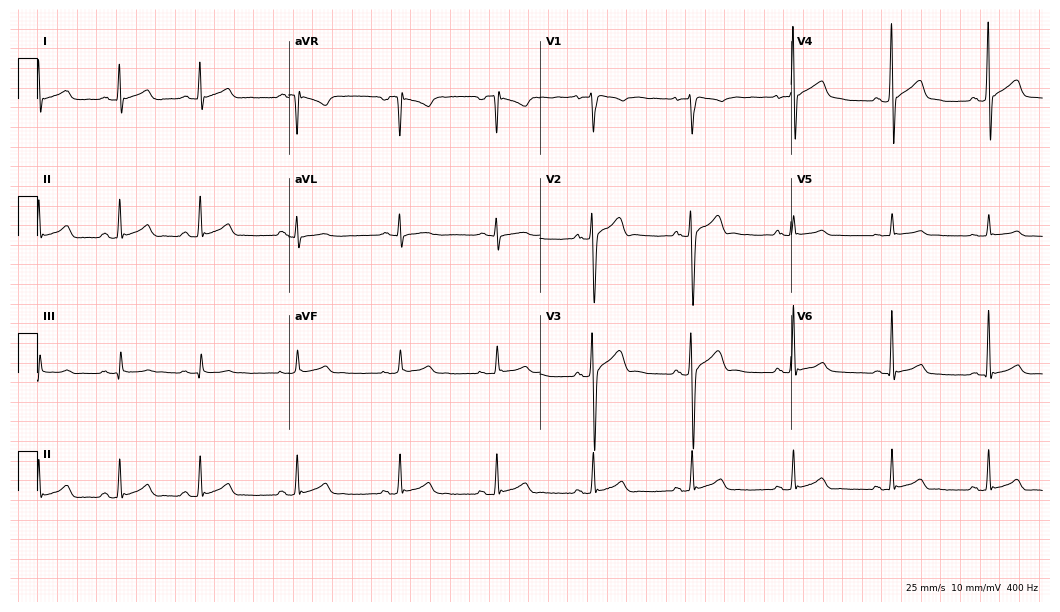
Electrocardiogram, a man, 28 years old. Of the six screened findings (first-degree AV block, right bundle branch block (RBBB), left bundle branch block (LBBB), sinus bradycardia, atrial fibrillation (AF), sinus tachycardia), none is recorded. Other findings, if any, are not listed.